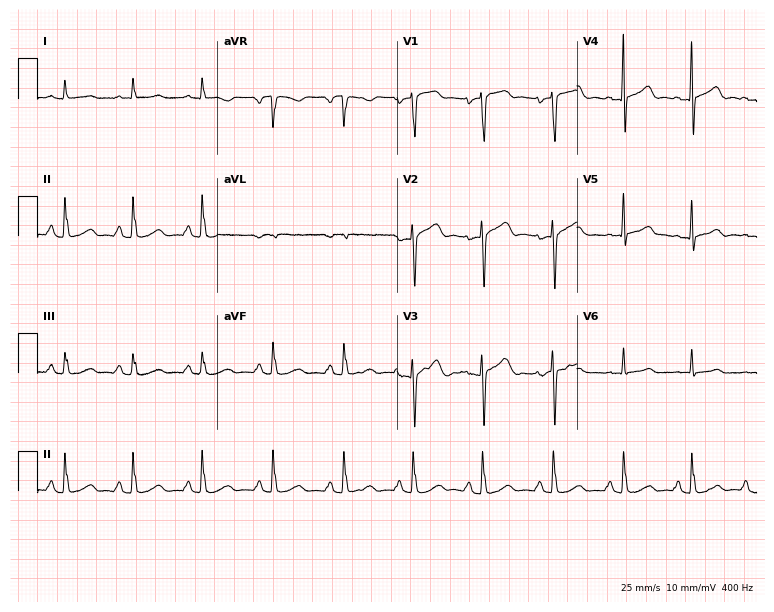
Electrocardiogram (7.3-second recording at 400 Hz), a 58-year-old male patient. Overall reading on record: normal ECG.